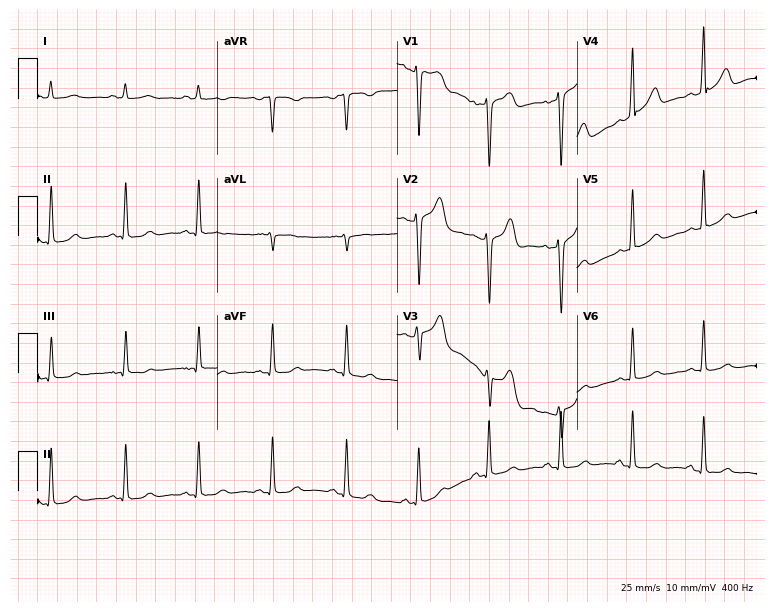
12-lead ECG from a 39-year-old man (7.3-second recording at 400 Hz). No first-degree AV block, right bundle branch block, left bundle branch block, sinus bradycardia, atrial fibrillation or sinus tachycardia recorded for this tracing.